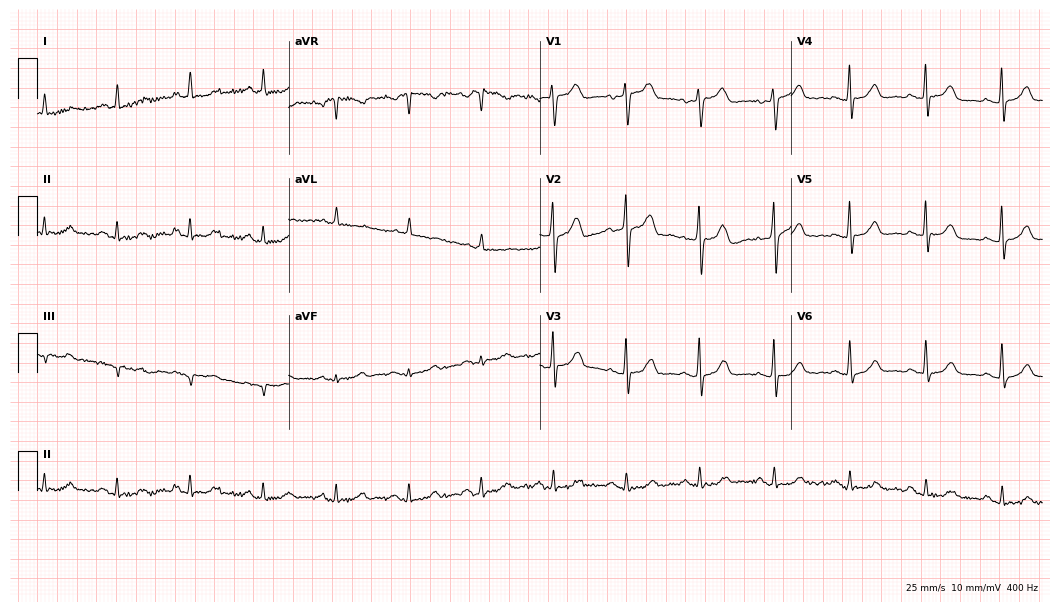
Electrocardiogram, an 81-year-old female patient. Overall reading on record: normal ECG.